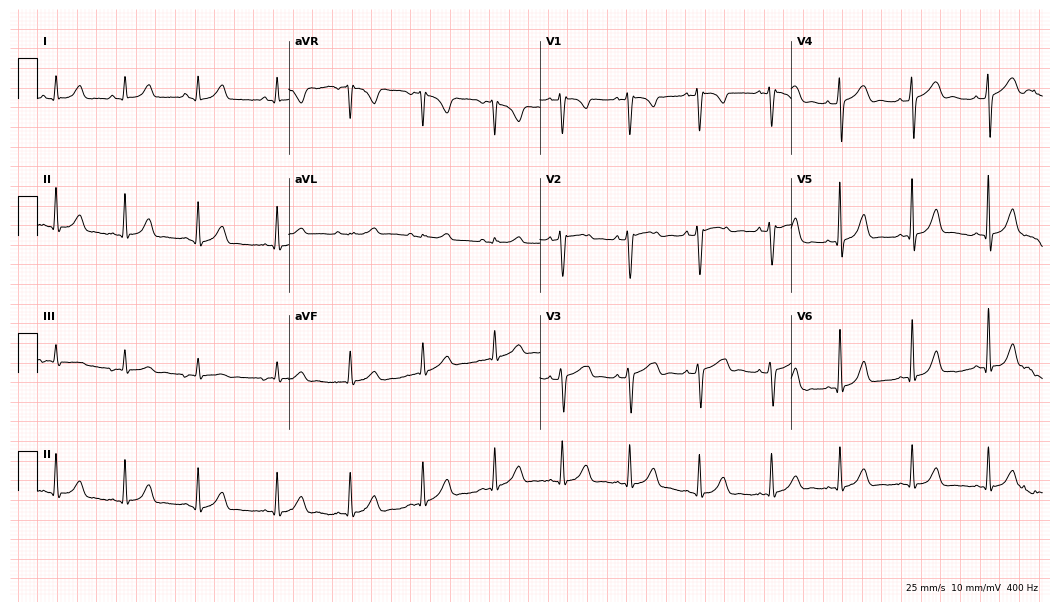
12-lead ECG from a female, 22 years old. Recorded interpretation: within normal limits.